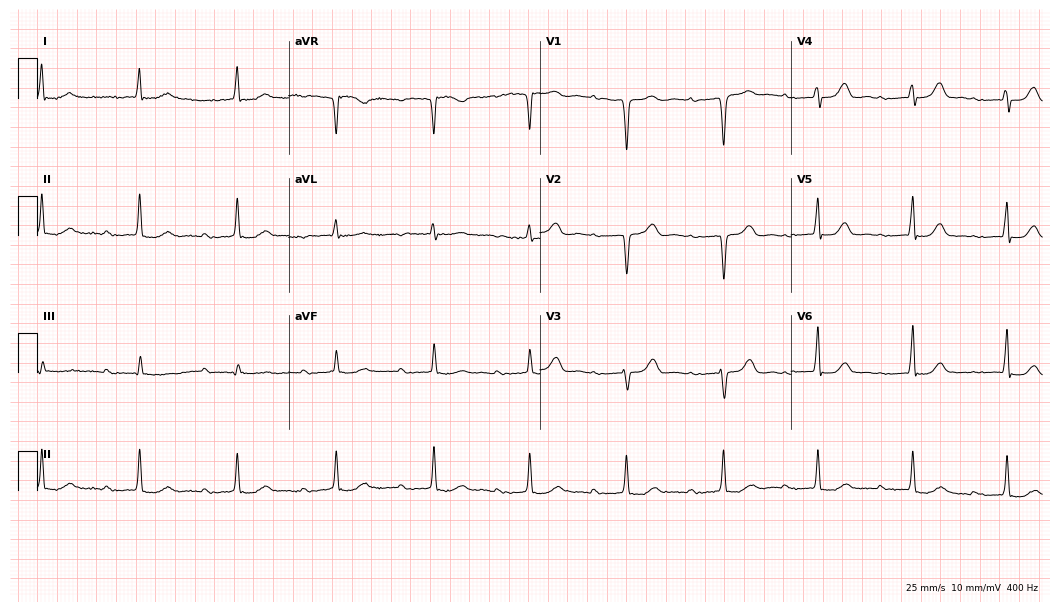
12-lead ECG (10.2-second recording at 400 Hz) from an 82-year-old woman. Findings include first-degree AV block.